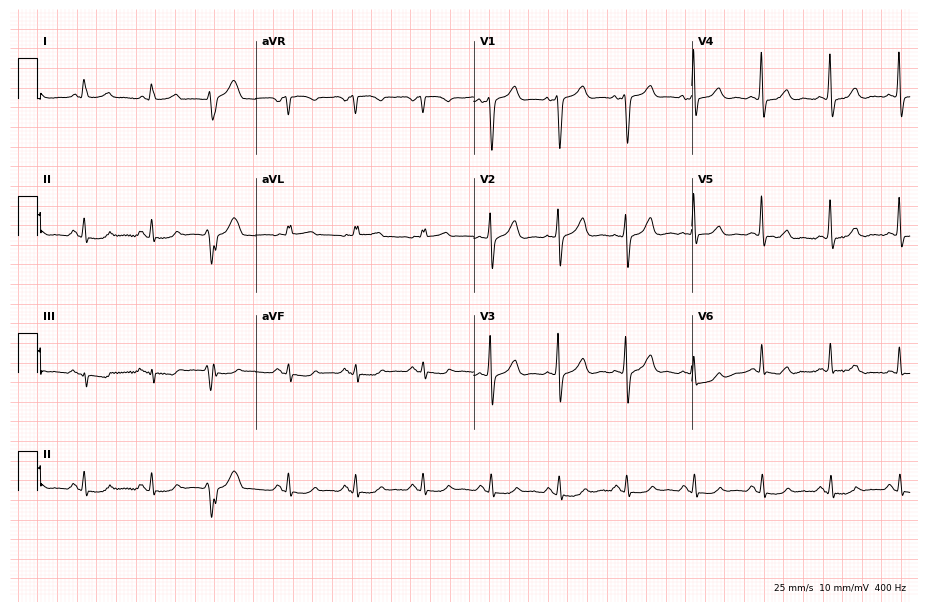
Electrocardiogram (8.9-second recording at 400 Hz), a male patient, 66 years old. Of the six screened findings (first-degree AV block, right bundle branch block, left bundle branch block, sinus bradycardia, atrial fibrillation, sinus tachycardia), none is recorded. Findings outside these six are not listed.